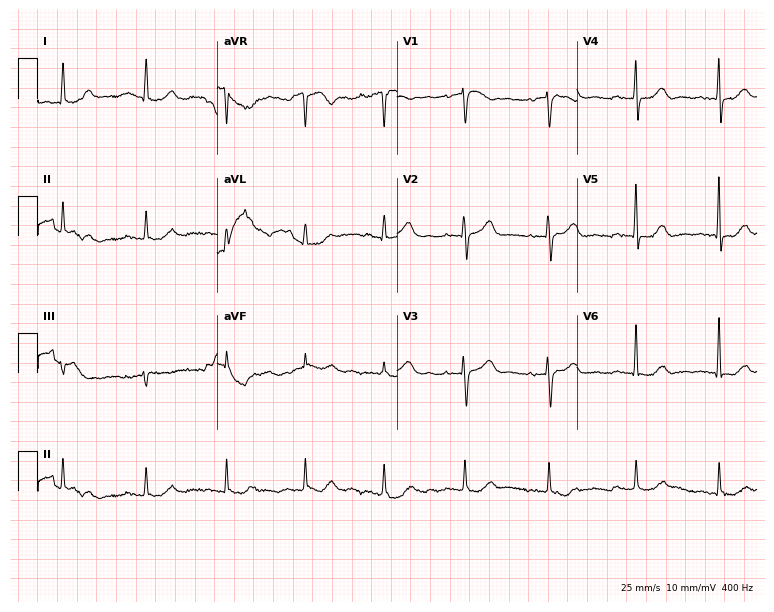
Standard 12-lead ECG recorded from a 71-year-old female (7.3-second recording at 400 Hz). None of these six findings is recorded: first-degree AV block, right bundle branch block, left bundle branch block, sinus bradycardia, atrial fibrillation, sinus tachycardia.